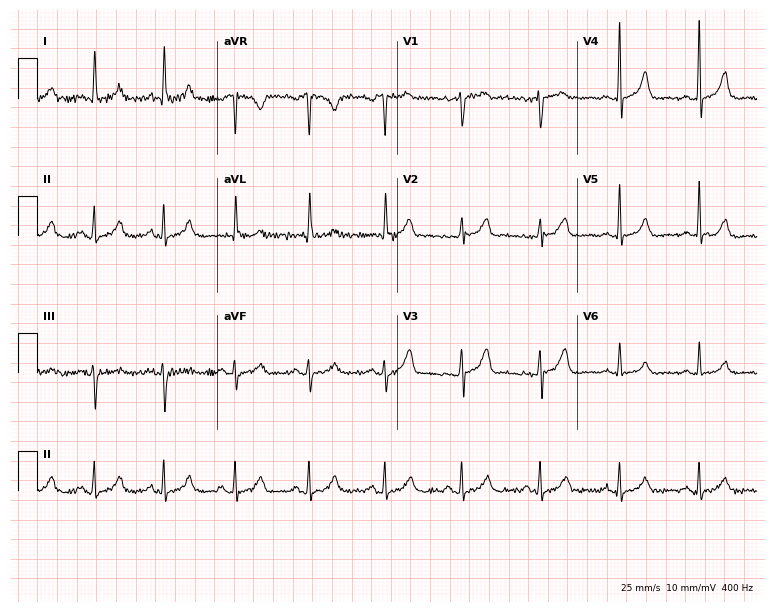
Resting 12-lead electrocardiogram. Patient: a woman, 62 years old. None of these six findings is recorded: first-degree AV block, right bundle branch block, left bundle branch block, sinus bradycardia, atrial fibrillation, sinus tachycardia. Findings outside these six are not listed.